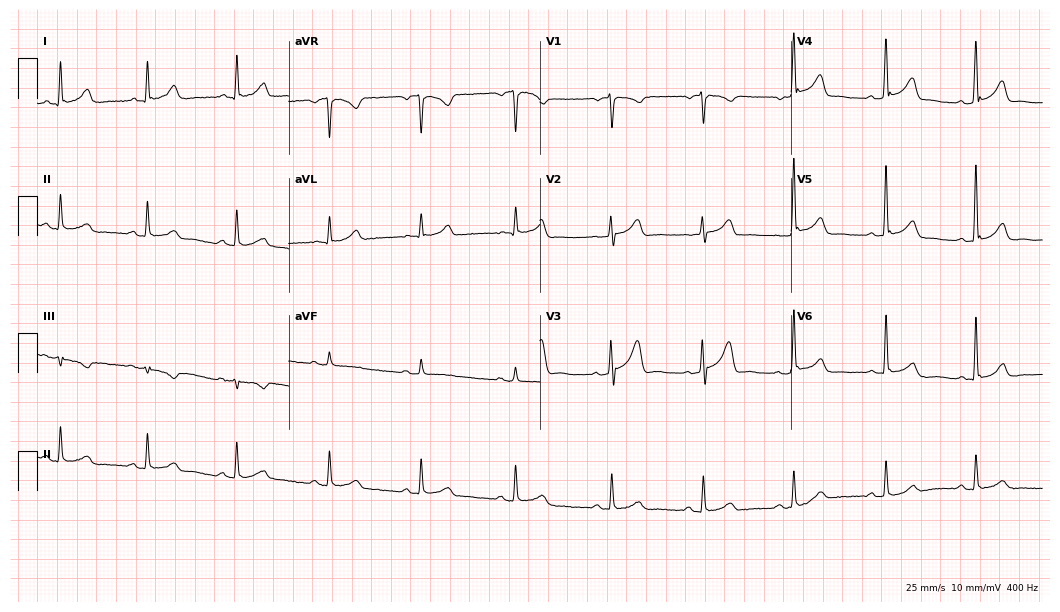
ECG — a man, 44 years old. Labelled as a normal ECG.